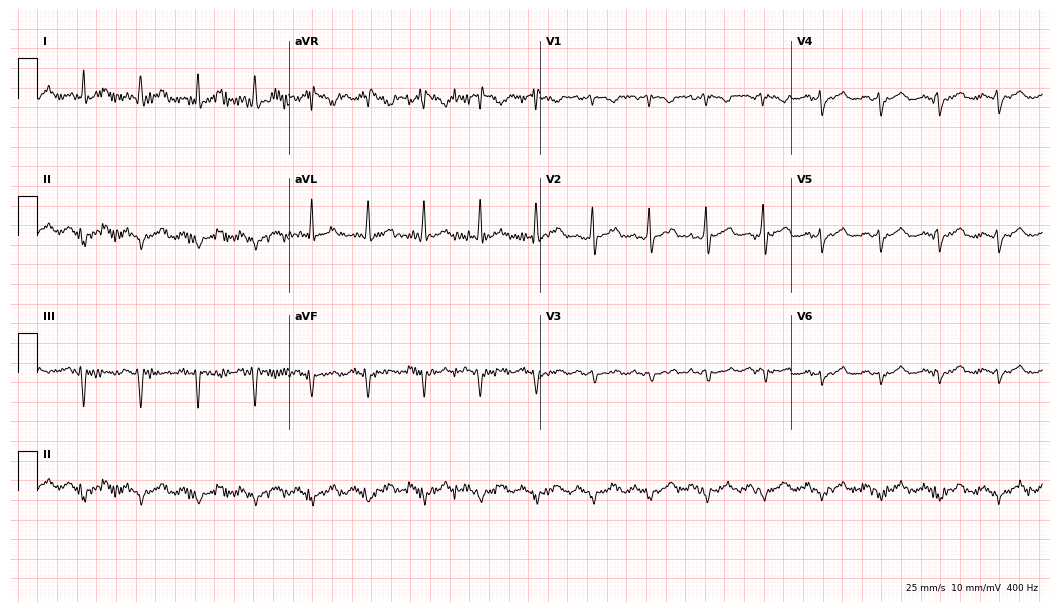
ECG (10.2-second recording at 400 Hz) — a 51-year-old male. Screened for six findings — first-degree AV block, right bundle branch block (RBBB), left bundle branch block (LBBB), sinus bradycardia, atrial fibrillation (AF), sinus tachycardia — none is recorded.